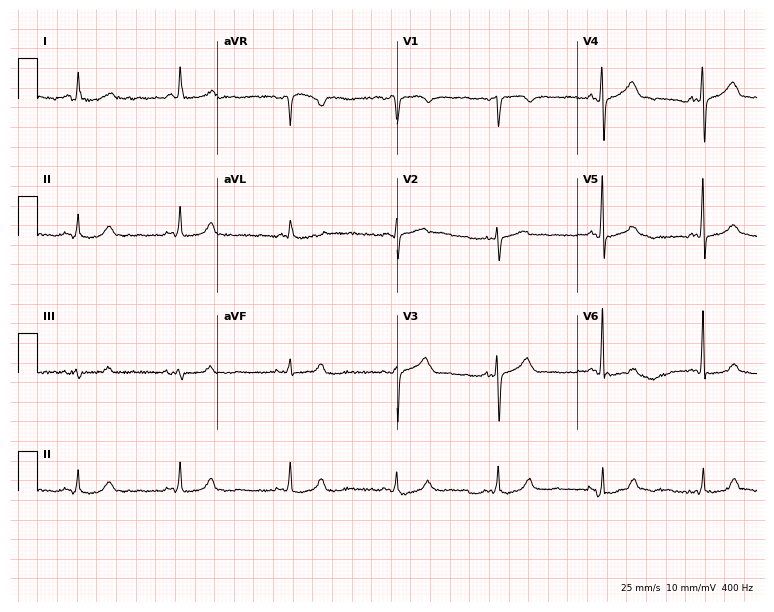
12-lead ECG from a 71-year-old male (7.3-second recording at 400 Hz). Recorded interpretation: within normal limits.